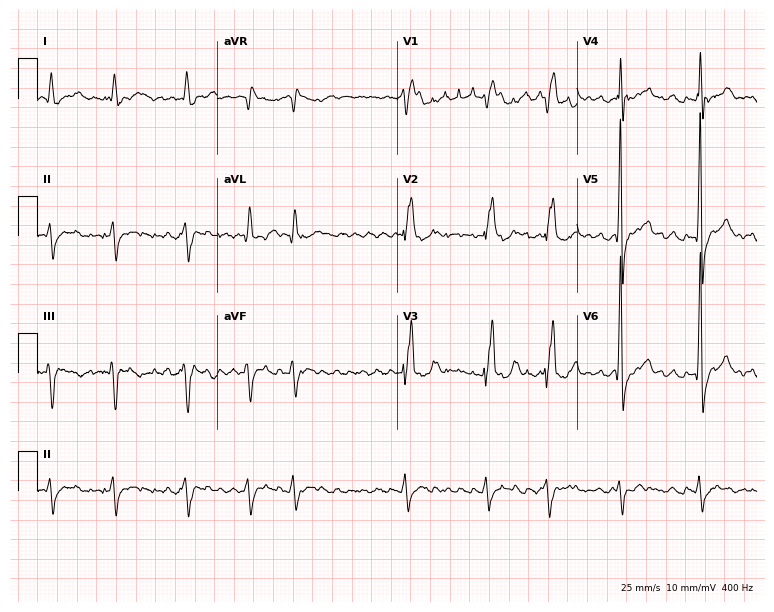
ECG (7.3-second recording at 400 Hz) — a 74-year-old female patient. Findings include right bundle branch block, atrial fibrillation.